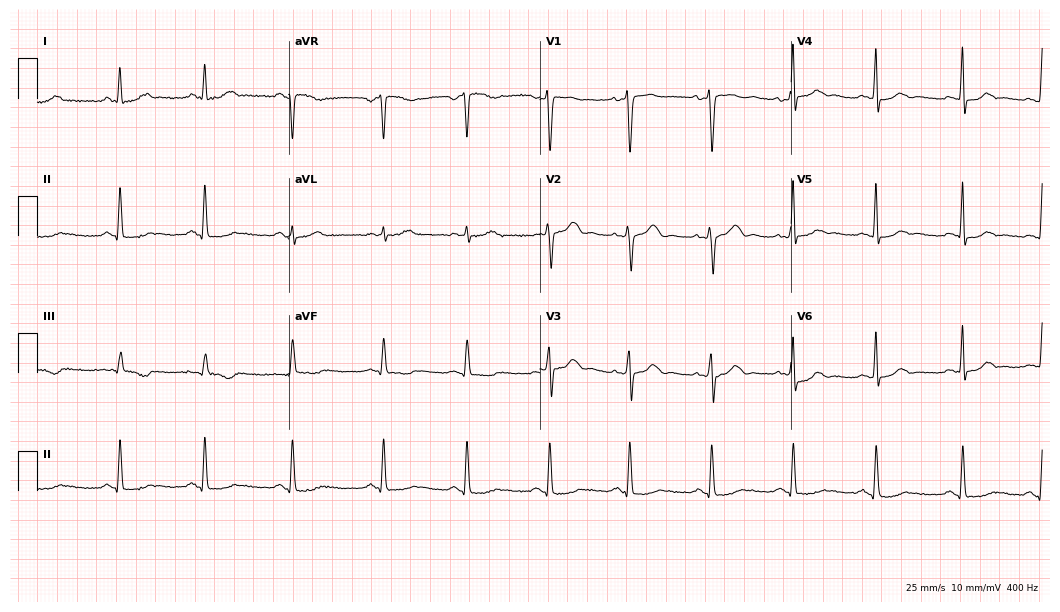
Electrocardiogram (10.2-second recording at 400 Hz), a 35-year-old female. Overall reading on record: normal ECG.